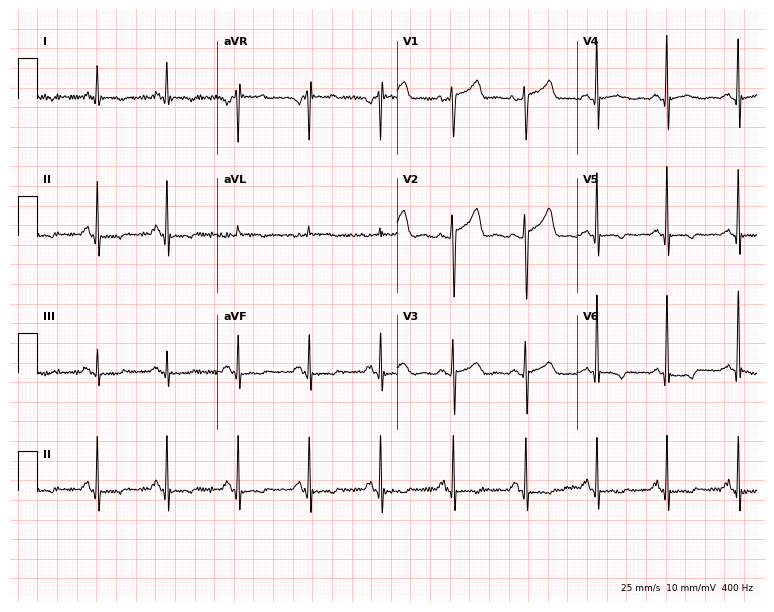
Resting 12-lead electrocardiogram (7.3-second recording at 400 Hz). Patient: a female, 57 years old. None of these six findings is recorded: first-degree AV block, right bundle branch block, left bundle branch block, sinus bradycardia, atrial fibrillation, sinus tachycardia.